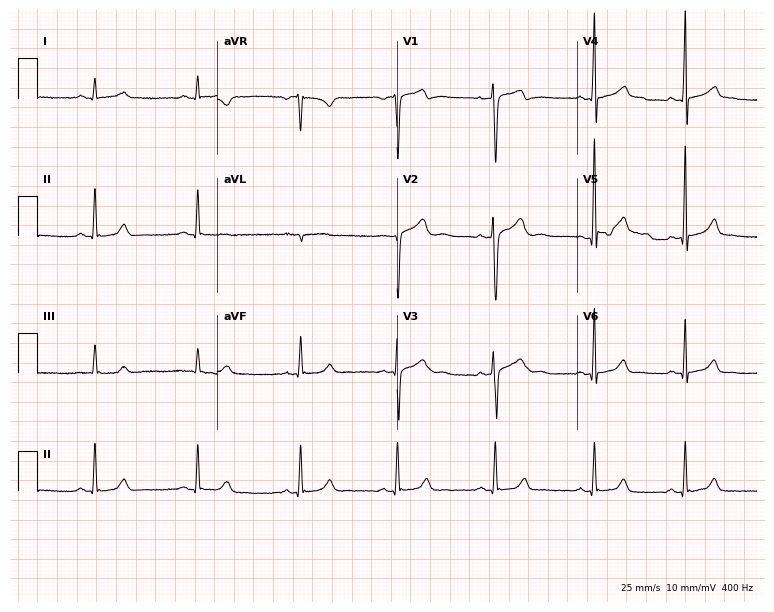
12-lead ECG from a male patient, 34 years old. Screened for six findings — first-degree AV block, right bundle branch block, left bundle branch block, sinus bradycardia, atrial fibrillation, sinus tachycardia — none is recorded.